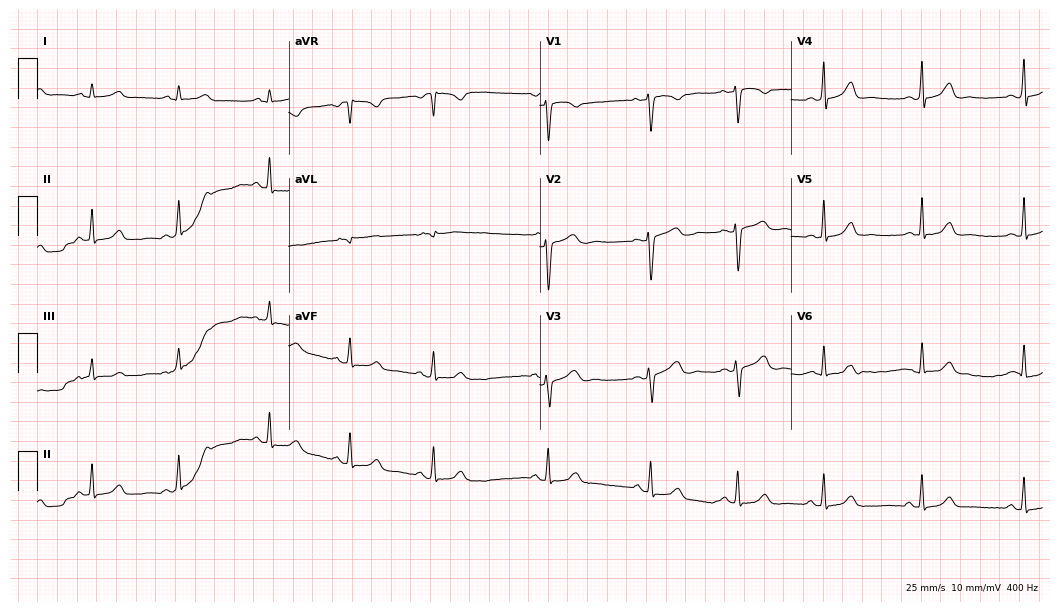
12-lead ECG from a female, 34 years old. Labelled as a normal ECG.